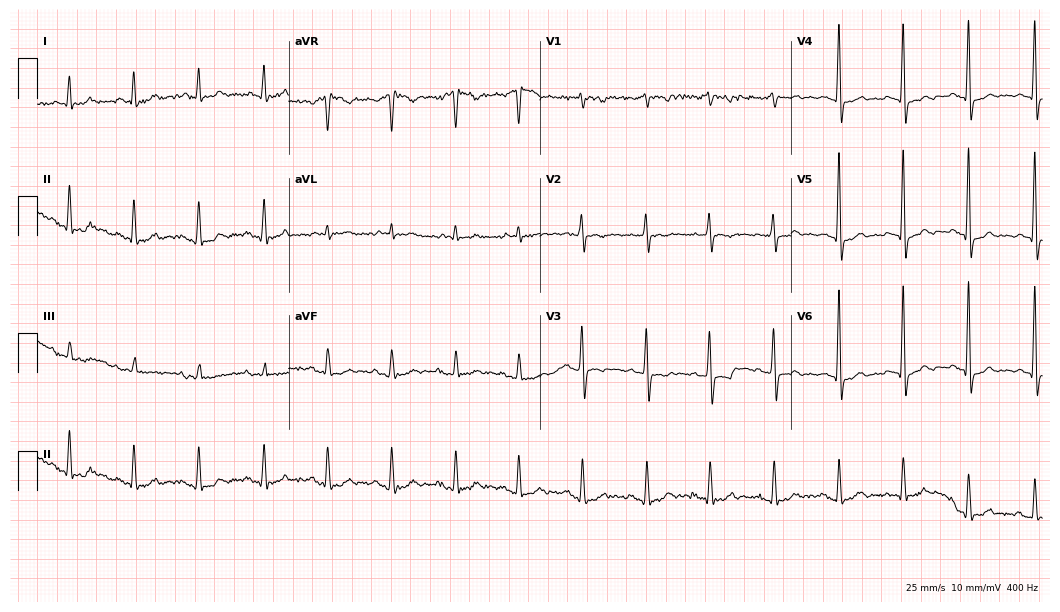
12-lead ECG (10.2-second recording at 400 Hz) from an 83-year-old male patient. Screened for six findings — first-degree AV block, right bundle branch block, left bundle branch block, sinus bradycardia, atrial fibrillation, sinus tachycardia — none is recorded.